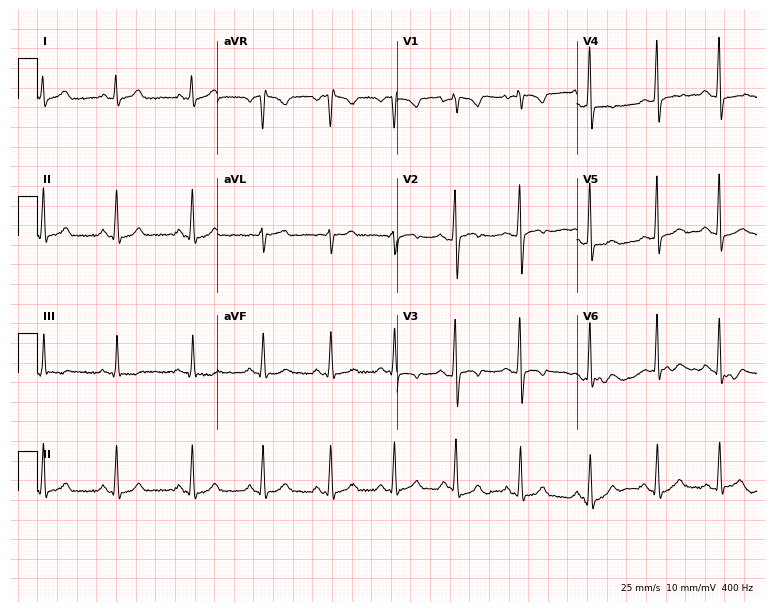
Electrocardiogram, a 24-year-old female. Overall reading on record: normal ECG.